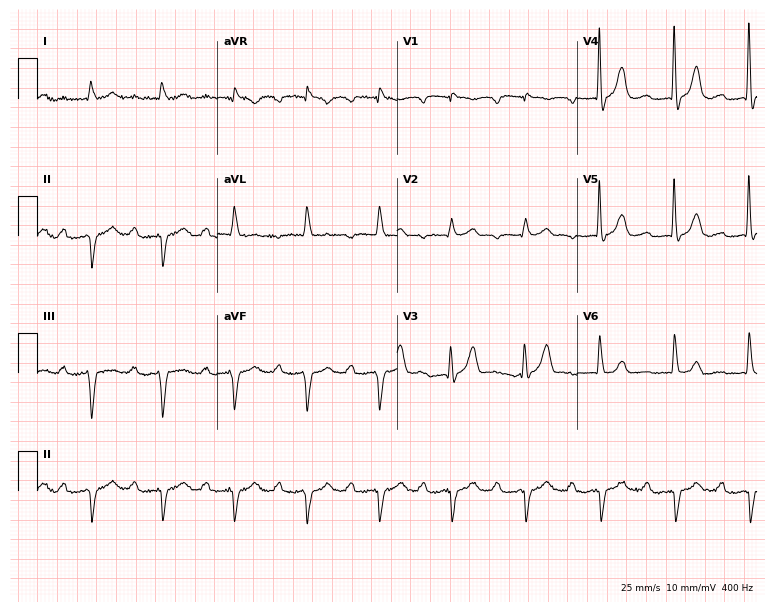
12-lead ECG (7.3-second recording at 400 Hz) from a male patient, 79 years old. Findings include first-degree AV block.